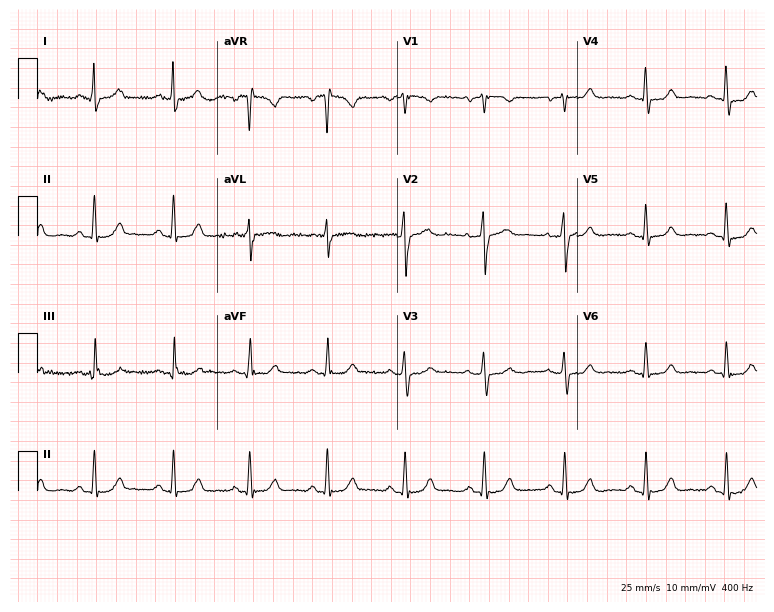
Resting 12-lead electrocardiogram. Patient: a woman, 54 years old. Read as a normal ECG.